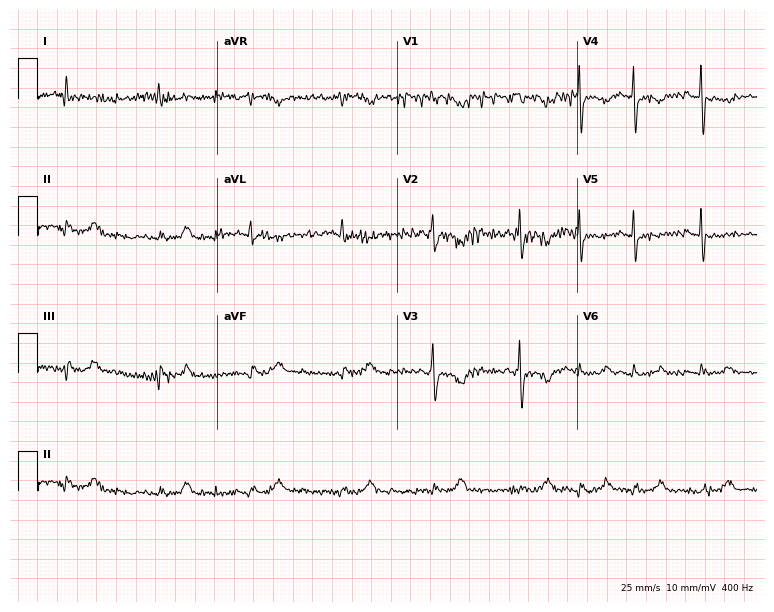
12-lead ECG from a woman, 75 years old (7.3-second recording at 400 Hz). No first-degree AV block, right bundle branch block (RBBB), left bundle branch block (LBBB), sinus bradycardia, atrial fibrillation (AF) or sinus tachycardia recorded for this tracing. Only these six findings were labelled.